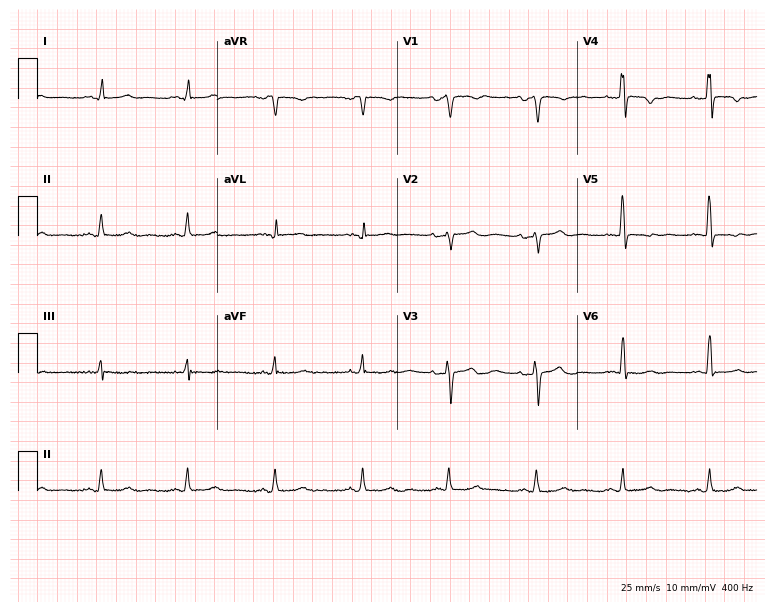
Electrocardiogram (7.3-second recording at 400 Hz), a female, 40 years old. Of the six screened findings (first-degree AV block, right bundle branch block, left bundle branch block, sinus bradycardia, atrial fibrillation, sinus tachycardia), none is recorded. Only these six findings were labelled.